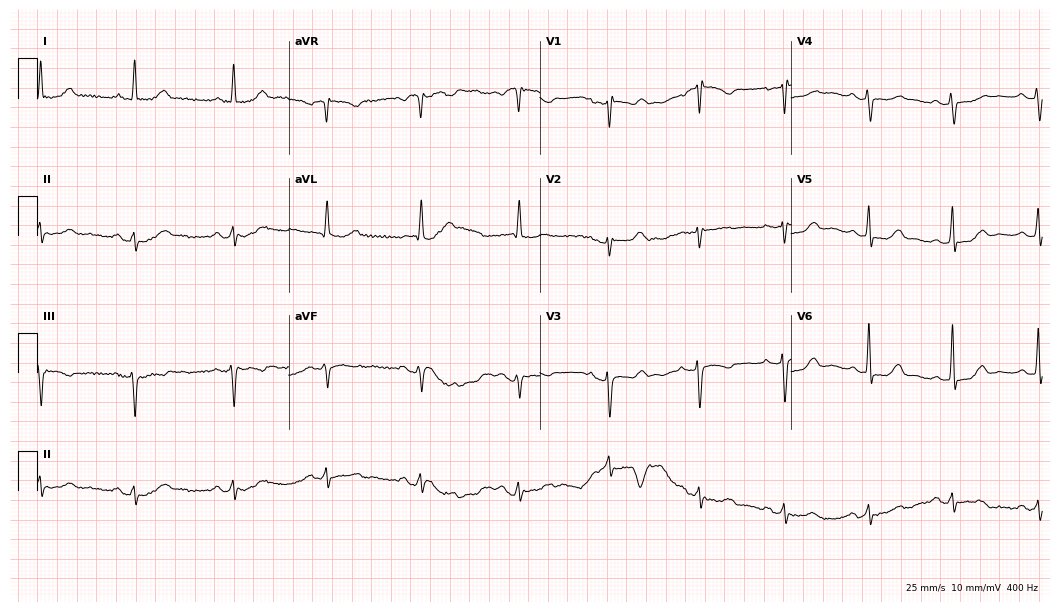
ECG — a 63-year-old female. Screened for six findings — first-degree AV block, right bundle branch block, left bundle branch block, sinus bradycardia, atrial fibrillation, sinus tachycardia — none is recorded.